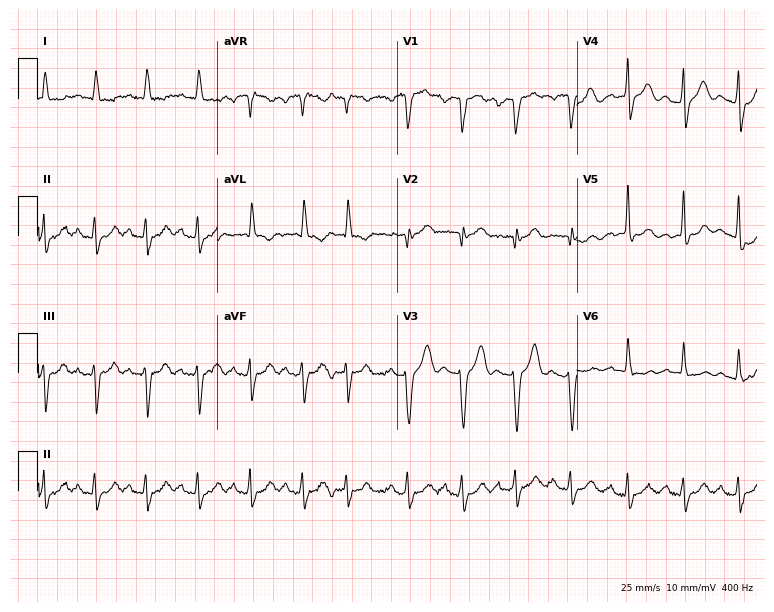
12-lead ECG from a male, 75 years old. Shows sinus tachycardia (a sinus rate of 100 beats per minute or more).